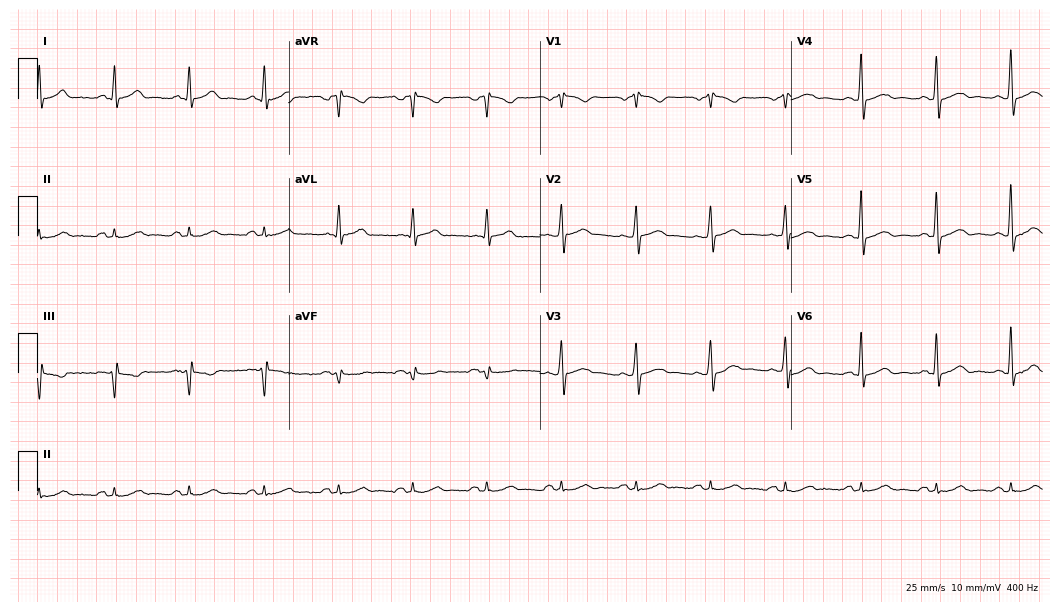
Electrocardiogram (10.2-second recording at 400 Hz), a 60-year-old male patient. Of the six screened findings (first-degree AV block, right bundle branch block (RBBB), left bundle branch block (LBBB), sinus bradycardia, atrial fibrillation (AF), sinus tachycardia), none is recorded.